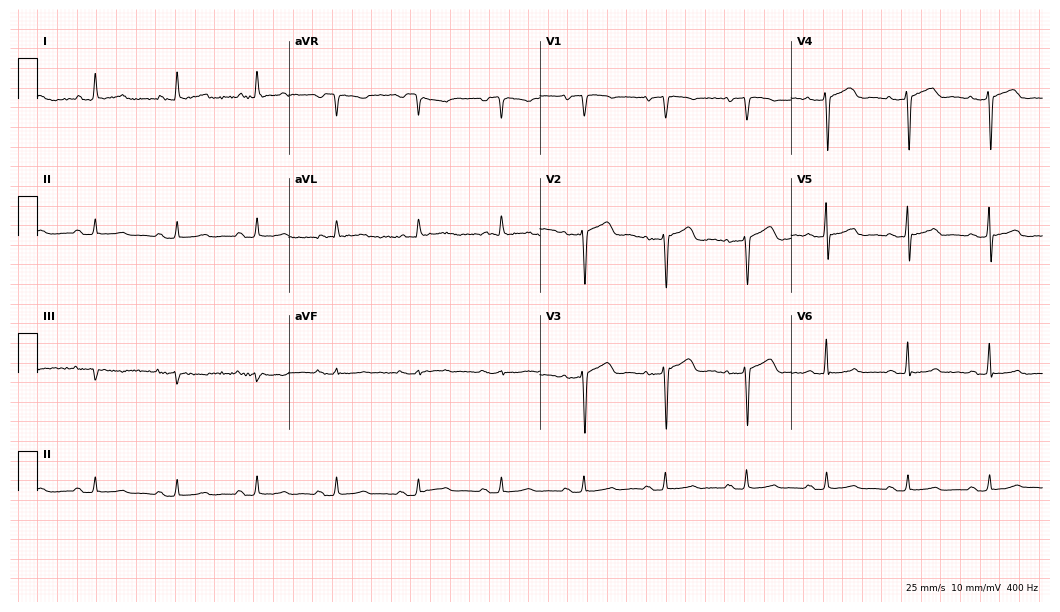
Electrocardiogram (10.2-second recording at 400 Hz), a female patient, 70 years old. Of the six screened findings (first-degree AV block, right bundle branch block, left bundle branch block, sinus bradycardia, atrial fibrillation, sinus tachycardia), none is recorded. Other findings, if any, are not listed.